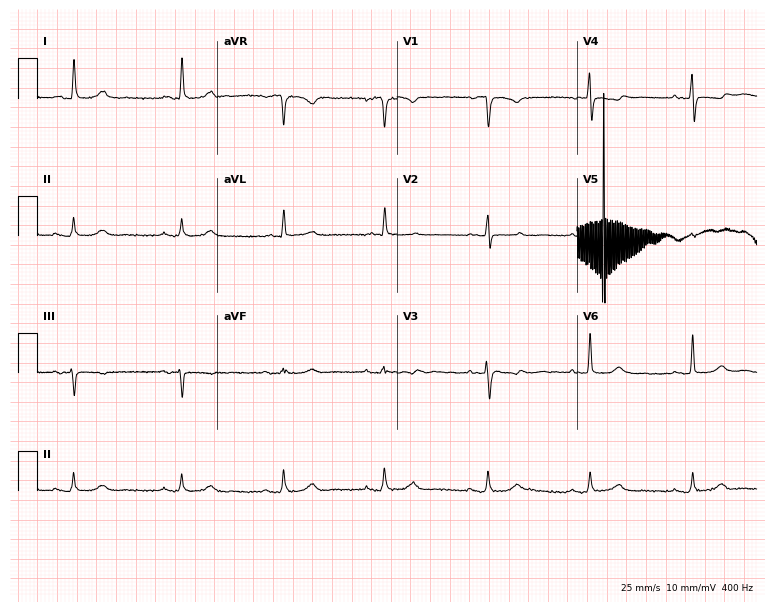
Resting 12-lead electrocardiogram (7.3-second recording at 400 Hz). Patient: a 76-year-old woman. None of these six findings is recorded: first-degree AV block, right bundle branch block, left bundle branch block, sinus bradycardia, atrial fibrillation, sinus tachycardia. Findings outside these six are not listed.